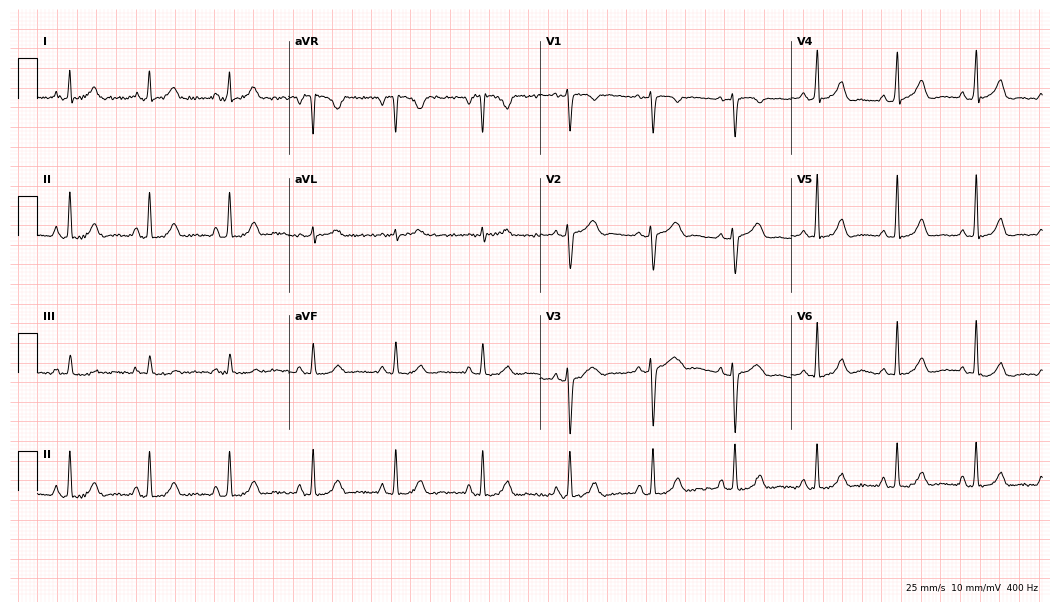
12-lead ECG from a 39-year-old female patient. Labelled as a normal ECG.